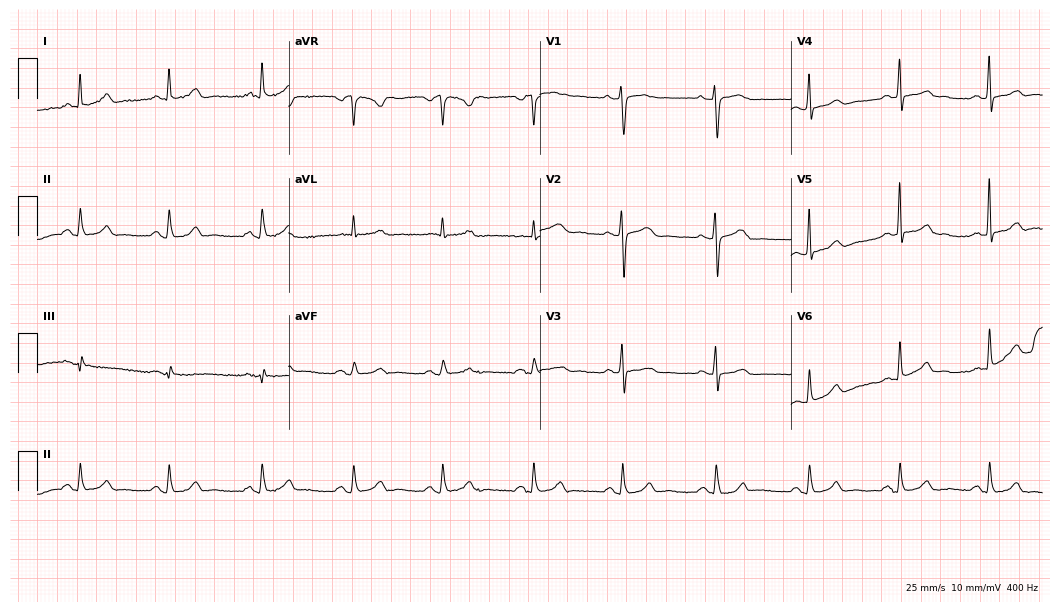
ECG — a female, 59 years old. Labelled as a normal ECG.